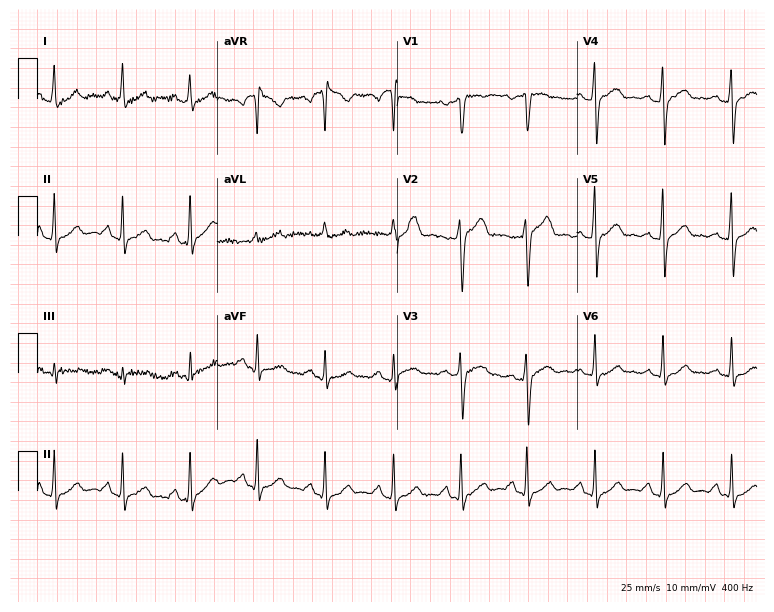
12-lead ECG from a female patient, 43 years old. Labelled as a normal ECG.